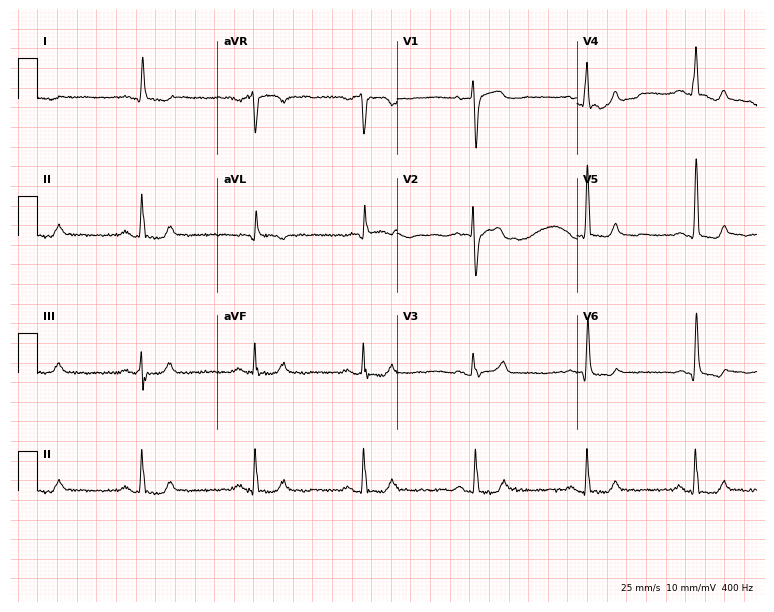
Resting 12-lead electrocardiogram (7.3-second recording at 400 Hz). Patient: a 77-year-old woman. None of these six findings is recorded: first-degree AV block, right bundle branch block, left bundle branch block, sinus bradycardia, atrial fibrillation, sinus tachycardia. Other findings, if any, are not listed.